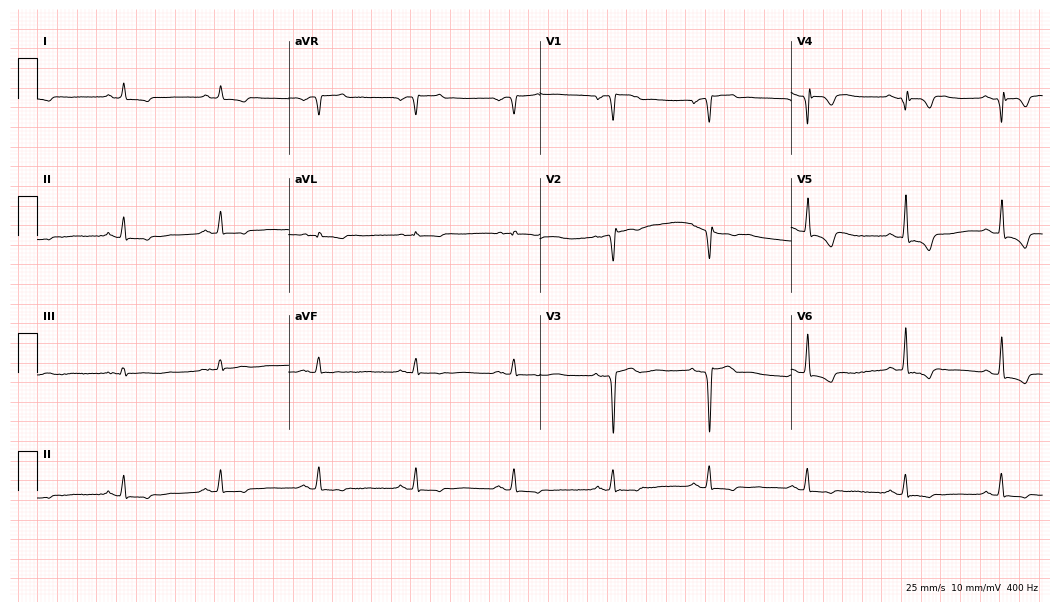
Resting 12-lead electrocardiogram. Patient: an 84-year-old male. None of these six findings is recorded: first-degree AV block, right bundle branch block (RBBB), left bundle branch block (LBBB), sinus bradycardia, atrial fibrillation (AF), sinus tachycardia. Other findings, if any, are not listed.